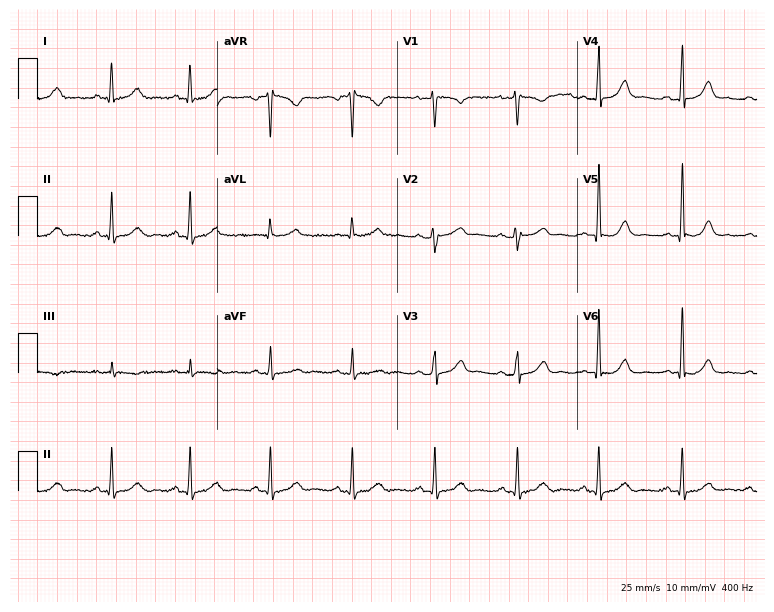
Electrocardiogram (7.3-second recording at 400 Hz), a female, 53 years old. Of the six screened findings (first-degree AV block, right bundle branch block, left bundle branch block, sinus bradycardia, atrial fibrillation, sinus tachycardia), none is recorded.